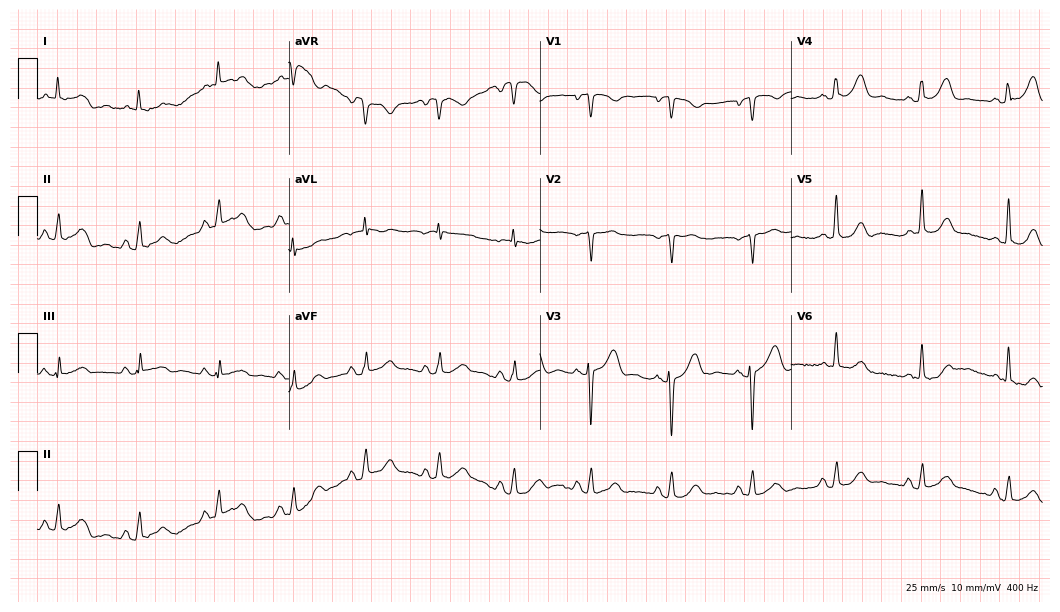
Standard 12-lead ECG recorded from a female, 76 years old. Read as a normal ECG.